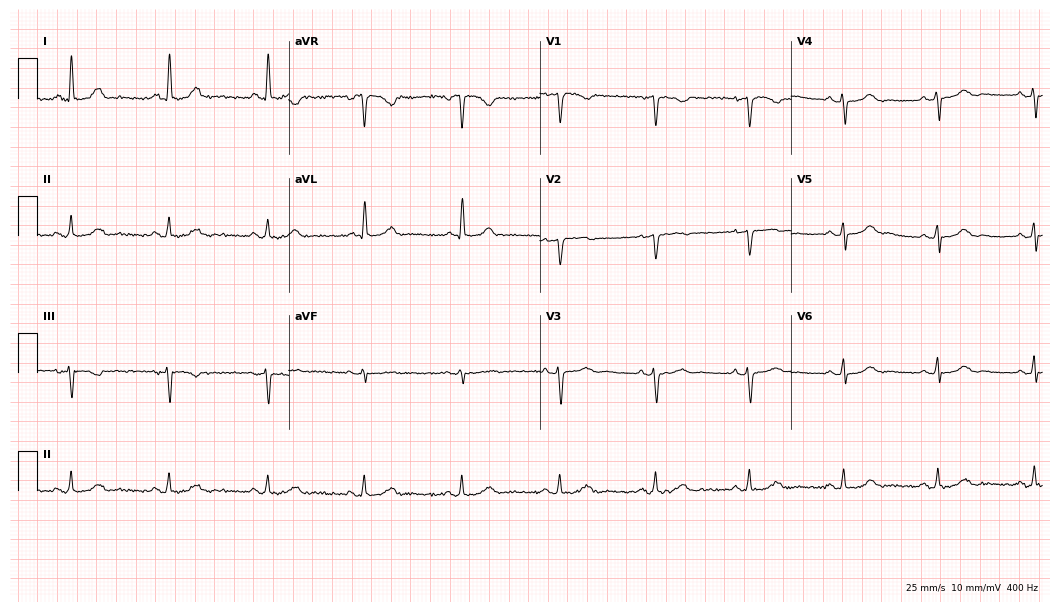
12-lead ECG from a female patient, 56 years old. Recorded interpretation: within normal limits.